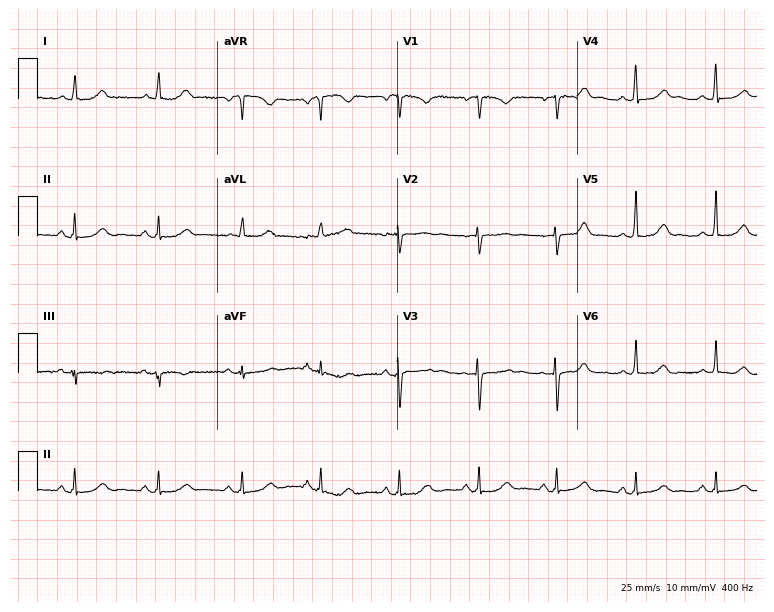
ECG (7.3-second recording at 400 Hz) — a 59-year-old female patient. Labelled as a normal ECG.